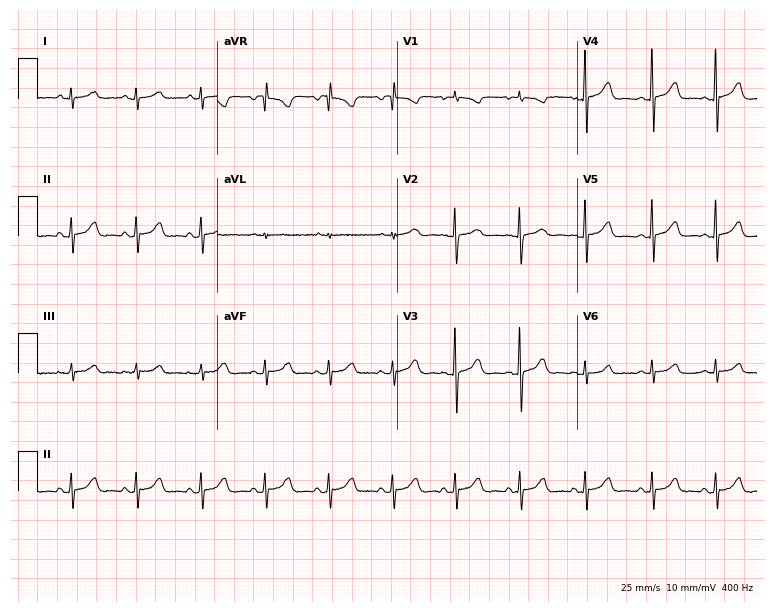
12-lead ECG from a 20-year-old woman (7.3-second recording at 400 Hz). Recorded interpretation: within normal limits.